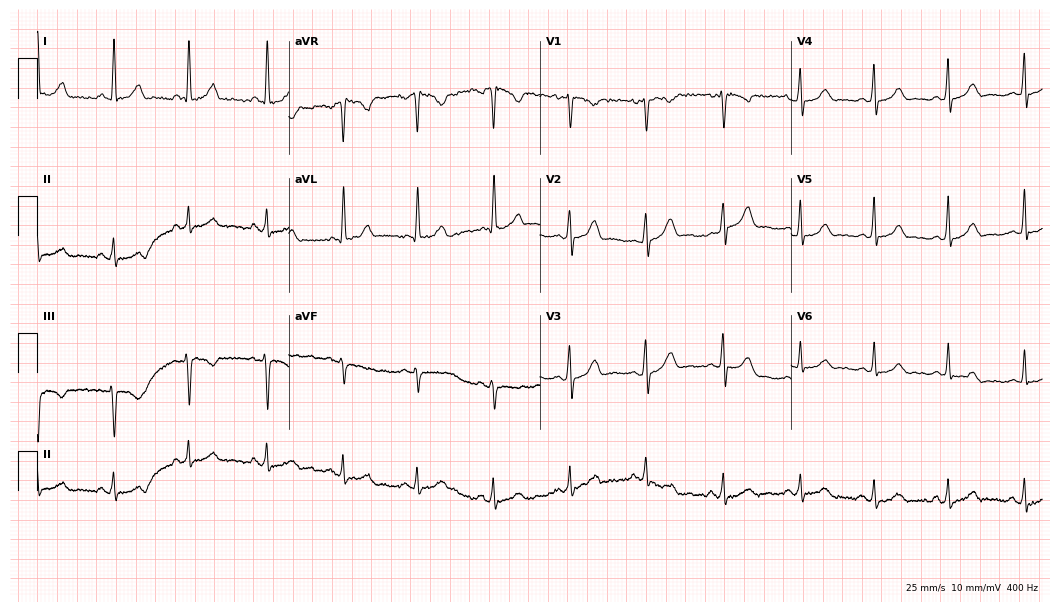
Resting 12-lead electrocardiogram (10.2-second recording at 400 Hz). Patient: a 42-year-old female. Read as a normal ECG.